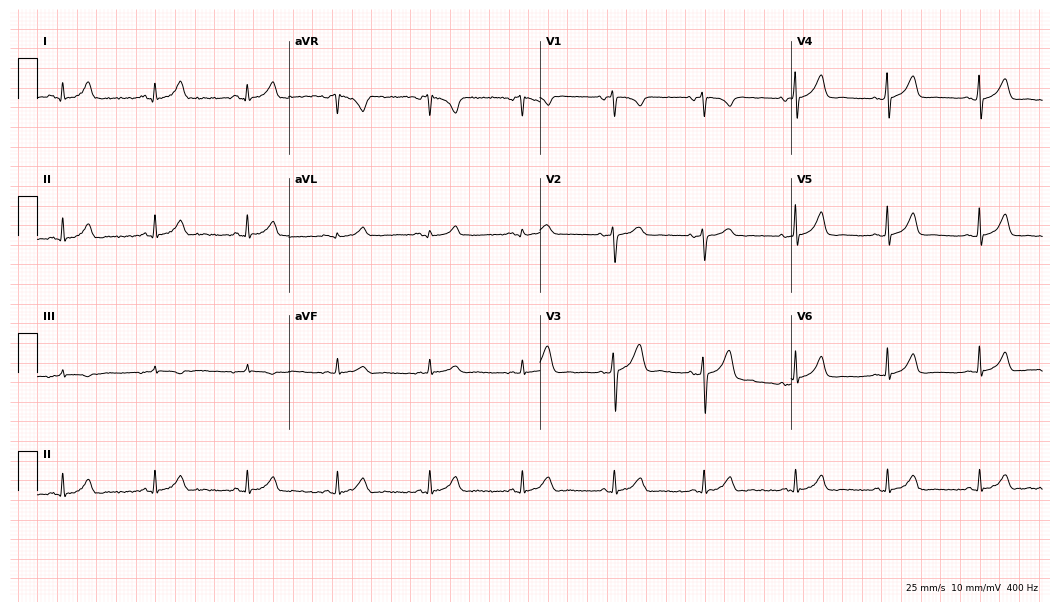
ECG (10.2-second recording at 400 Hz) — a 43-year-old female. Labelled as a normal ECG.